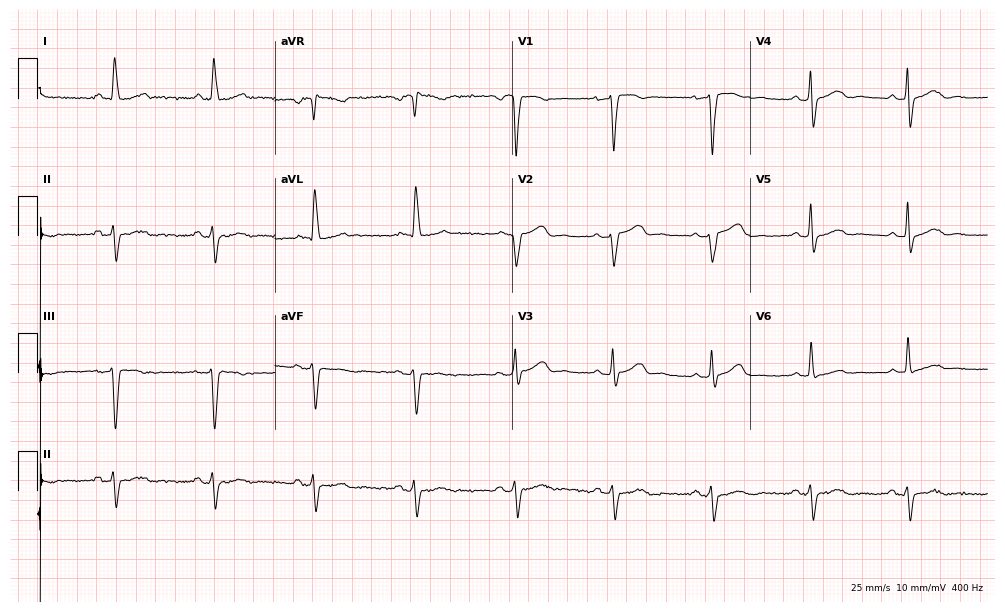
Electrocardiogram, a 50-year-old female patient. Of the six screened findings (first-degree AV block, right bundle branch block, left bundle branch block, sinus bradycardia, atrial fibrillation, sinus tachycardia), none is recorded.